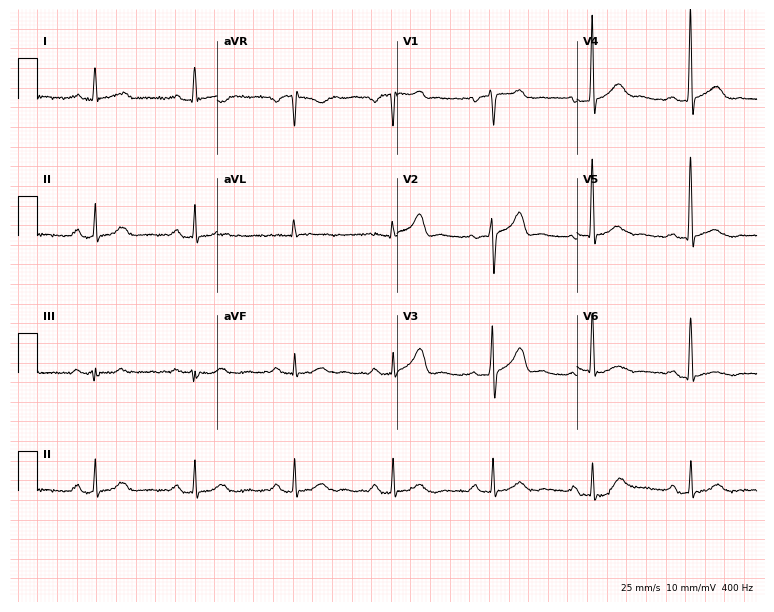
Resting 12-lead electrocardiogram. Patient: a male, 59 years old. The tracing shows first-degree AV block.